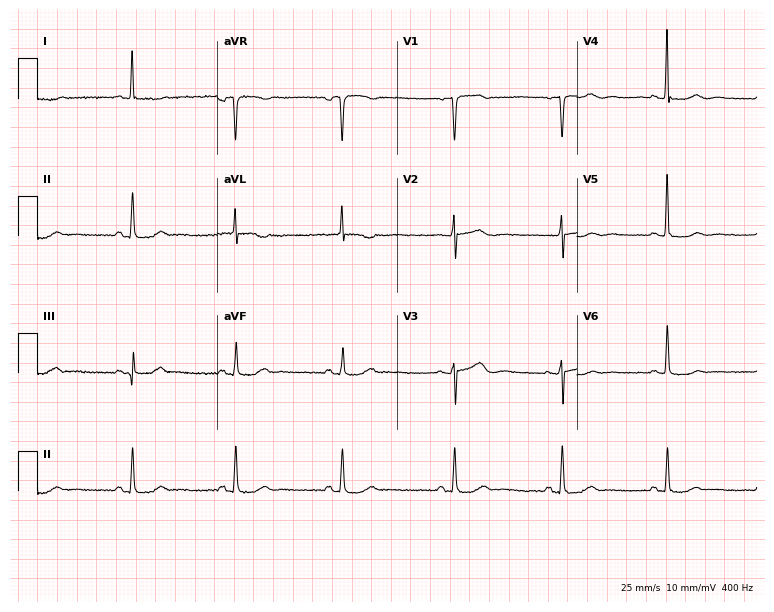
Electrocardiogram (7.3-second recording at 400 Hz), a 74-year-old female. Of the six screened findings (first-degree AV block, right bundle branch block, left bundle branch block, sinus bradycardia, atrial fibrillation, sinus tachycardia), none is recorded. Other findings, if any, are not listed.